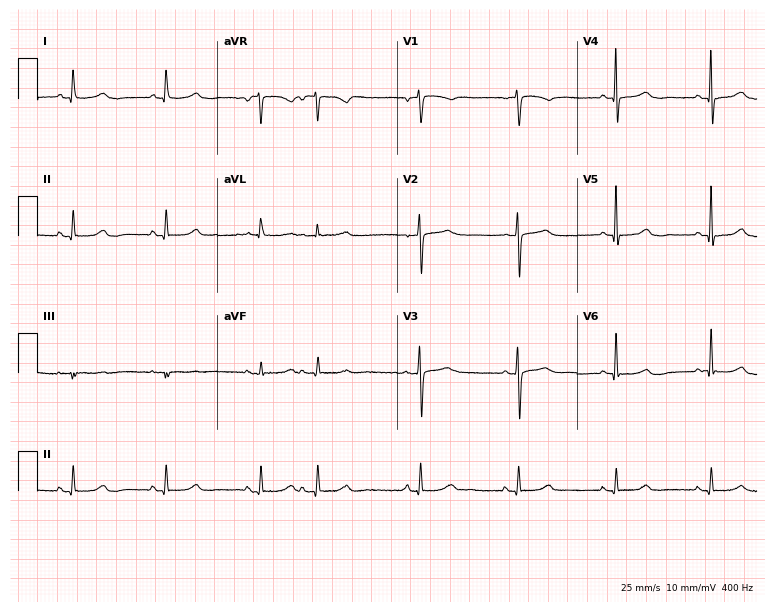
ECG — a female patient, 83 years old. Labelled as a normal ECG.